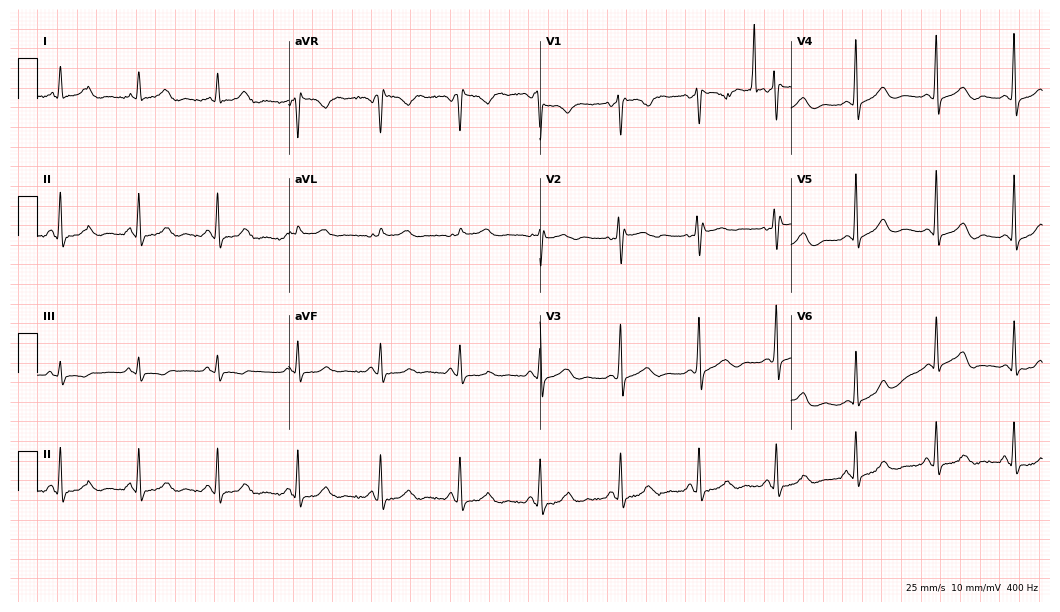
ECG (10.2-second recording at 400 Hz) — a woman, 48 years old. Screened for six findings — first-degree AV block, right bundle branch block (RBBB), left bundle branch block (LBBB), sinus bradycardia, atrial fibrillation (AF), sinus tachycardia — none is recorded.